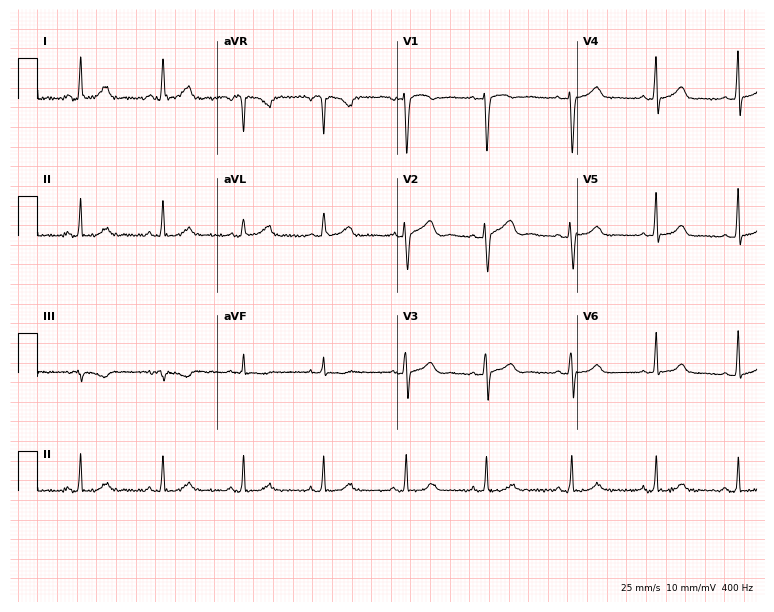
ECG — a female, 47 years old. Labelled as a normal ECG.